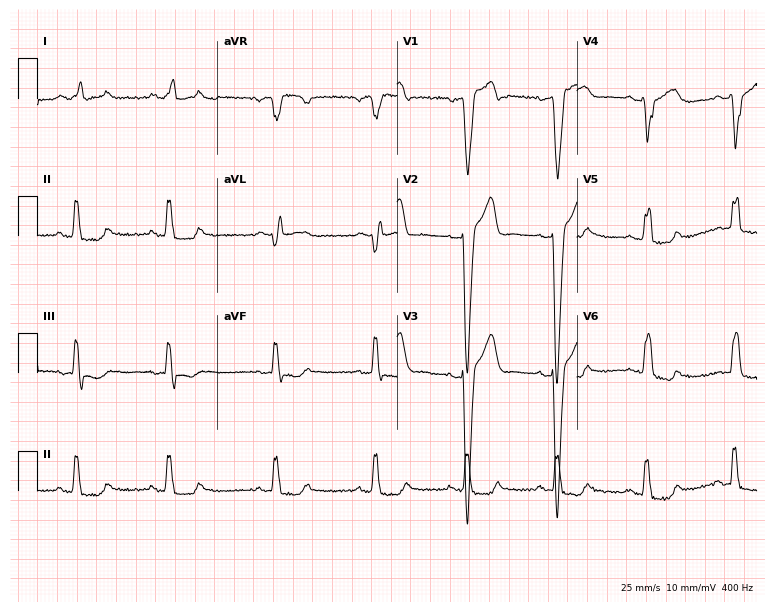
Standard 12-lead ECG recorded from a man, 39 years old (7.3-second recording at 400 Hz). The tracing shows left bundle branch block.